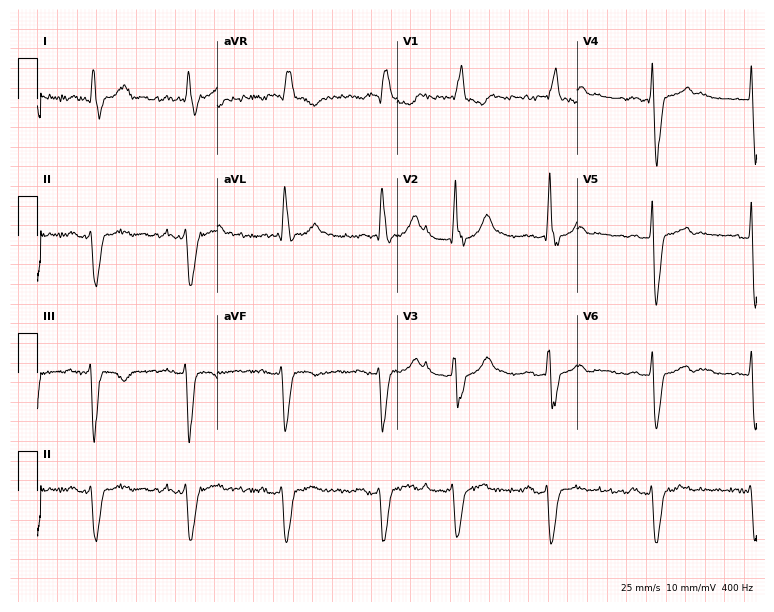
Resting 12-lead electrocardiogram (7.3-second recording at 400 Hz). Patient: a male, 72 years old. The tracing shows first-degree AV block, right bundle branch block.